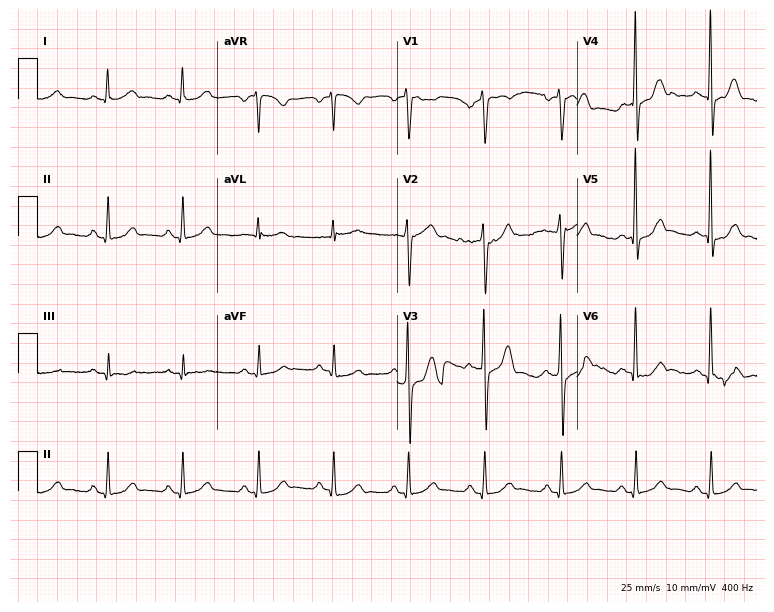
Resting 12-lead electrocardiogram. Patient: a male, 55 years old. Read as a normal ECG.